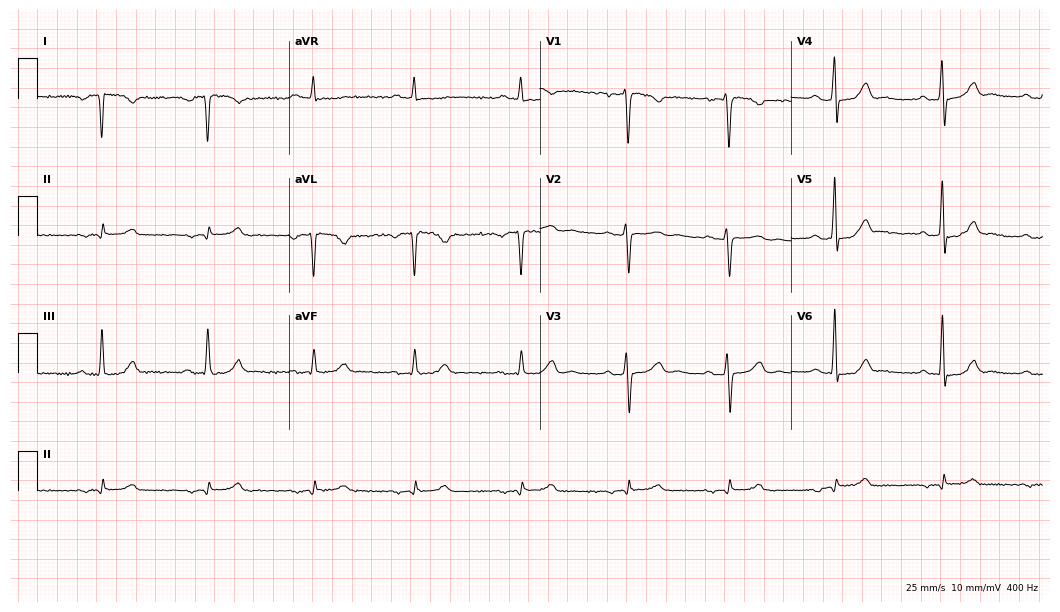
Resting 12-lead electrocardiogram (10.2-second recording at 400 Hz). Patient: a female, 51 years old. None of these six findings is recorded: first-degree AV block, right bundle branch block, left bundle branch block, sinus bradycardia, atrial fibrillation, sinus tachycardia. Only these six findings were labelled.